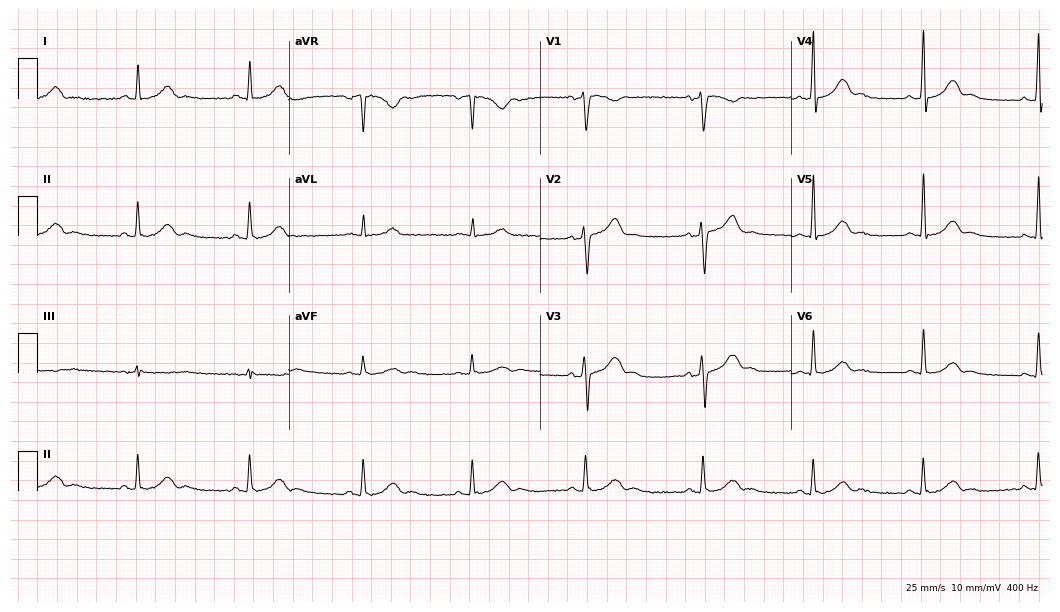
Electrocardiogram (10.2-second recording at 400 Hz), a male patient, 52 years old. Overall reading on record: normal ECG.